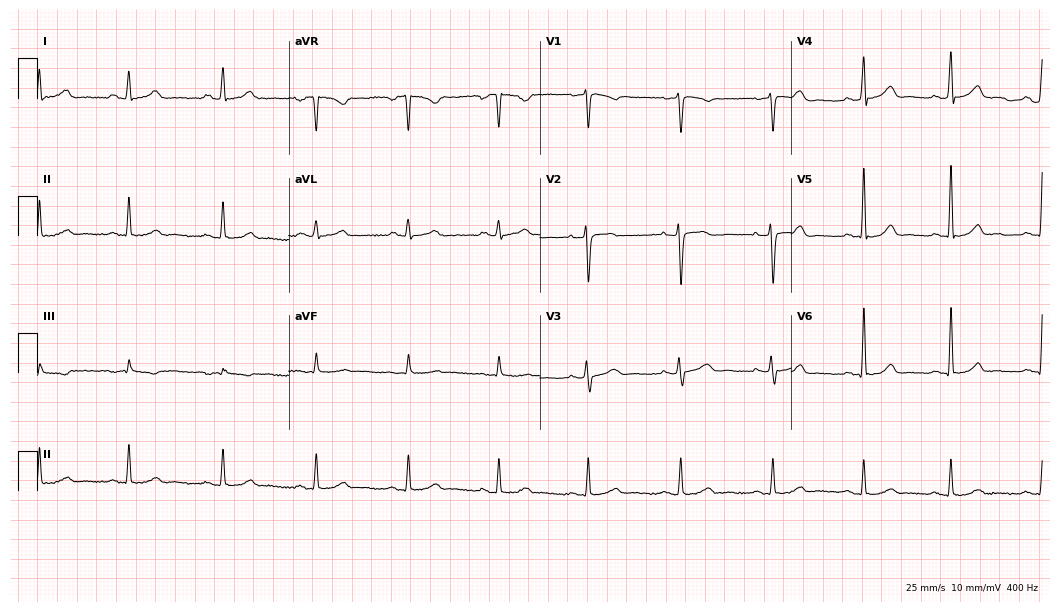
Electrocardiogram, a woman, 38 years old. Overall reading on record: normal ECG.